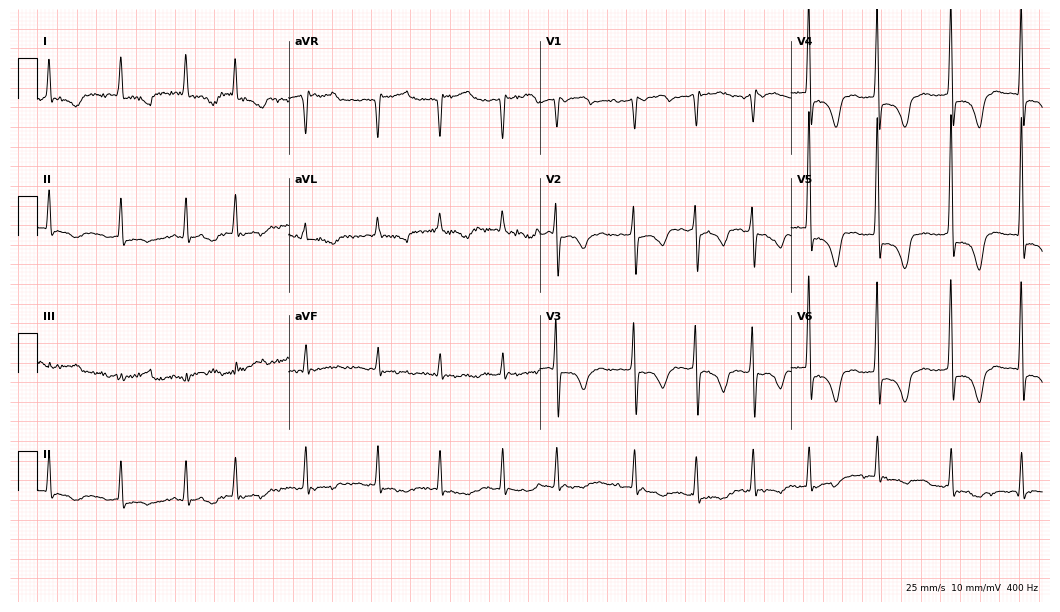
Electrocardiogram (10.2-second recording at 400 Hz), a female patient, 84 years old. Interpretation includes atrial fibrillation.